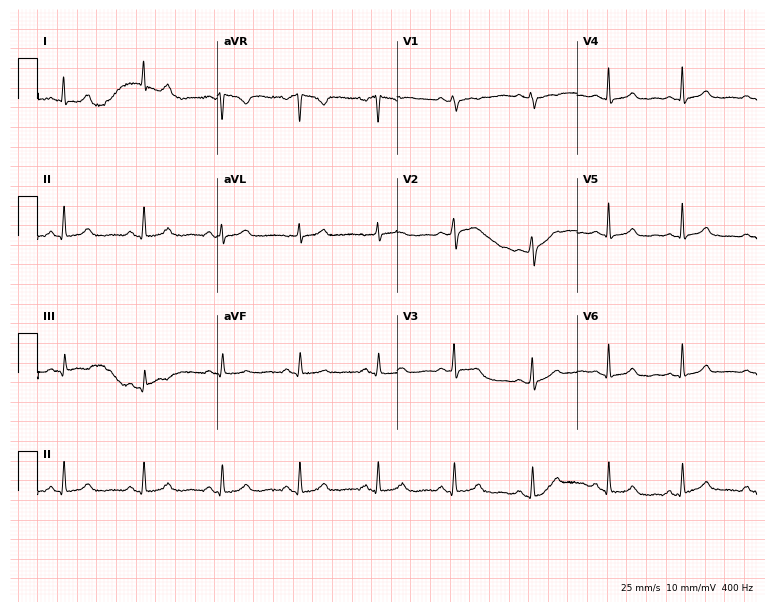
ECG — a woman, 34 years old. Labelled as a normal ECG.